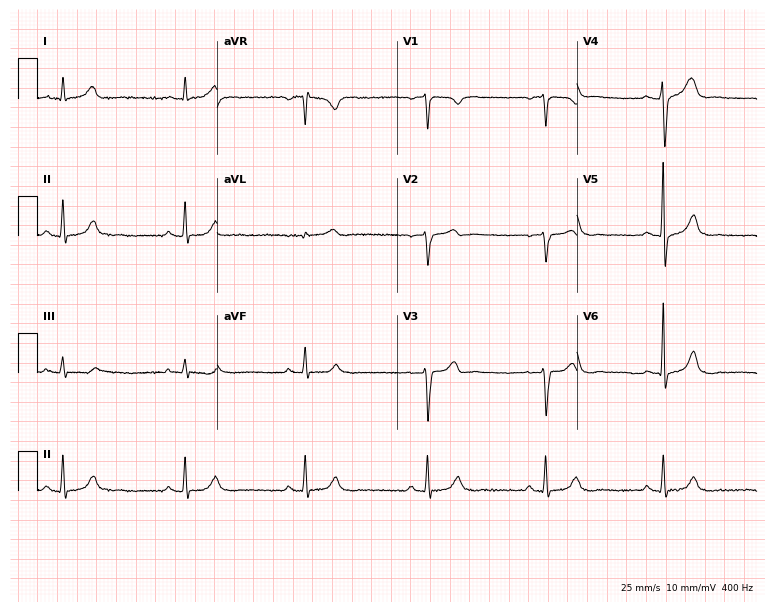
Standard 12-lead ECG recorded from a man, 44 years old. None of these six findings is recorded: first-degree AV block, right bundle branch block, left bundle branch block, sinus bradycardia, atrial fibrillation, sinus tachycardia.